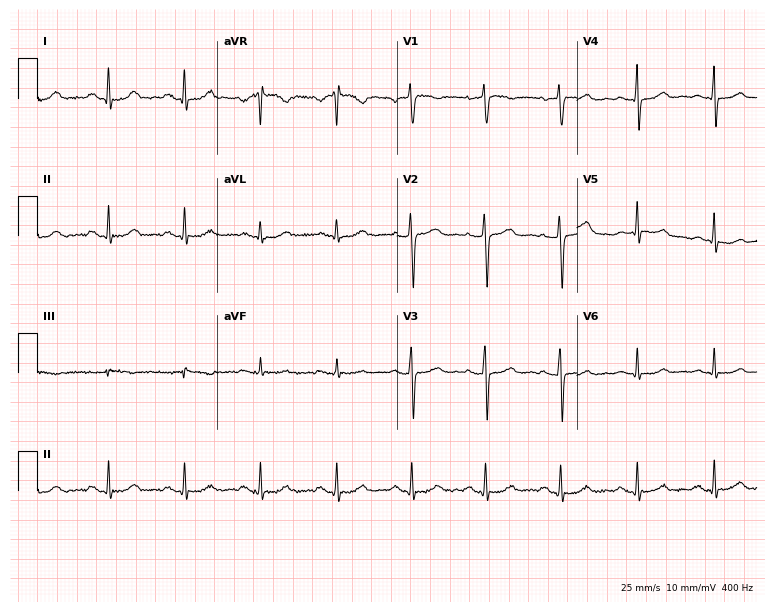
Electrocardiogram, a 47-year-old female patient. Overall reading on record: normal ECG.